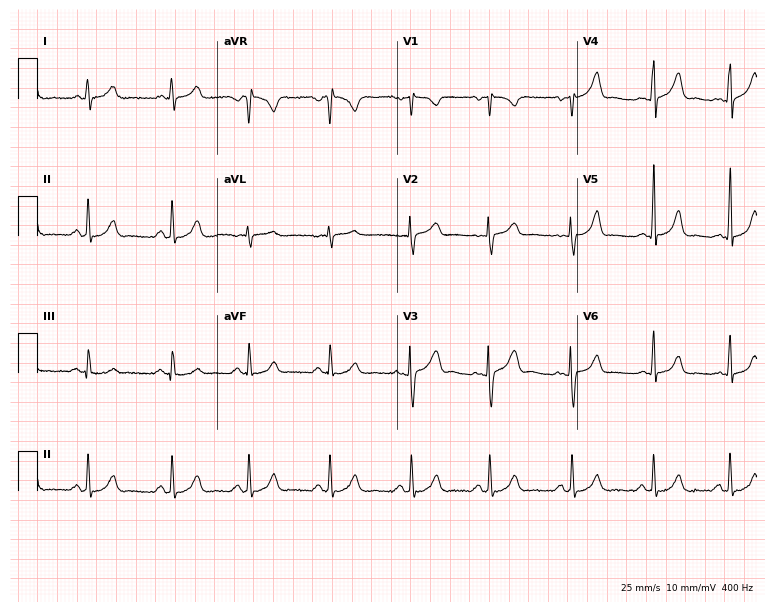
Resting 12-lead electrocardiogram. Patient: a 24-year-old female. None of these six findings is recorded: first-degree AV block, right bundle branch block (RBBB), left bundle branch block (LBBB), sinus bradycardia, atrial fibrillation (AF), sinus tachycardia. Other findings, if any, are not listed.